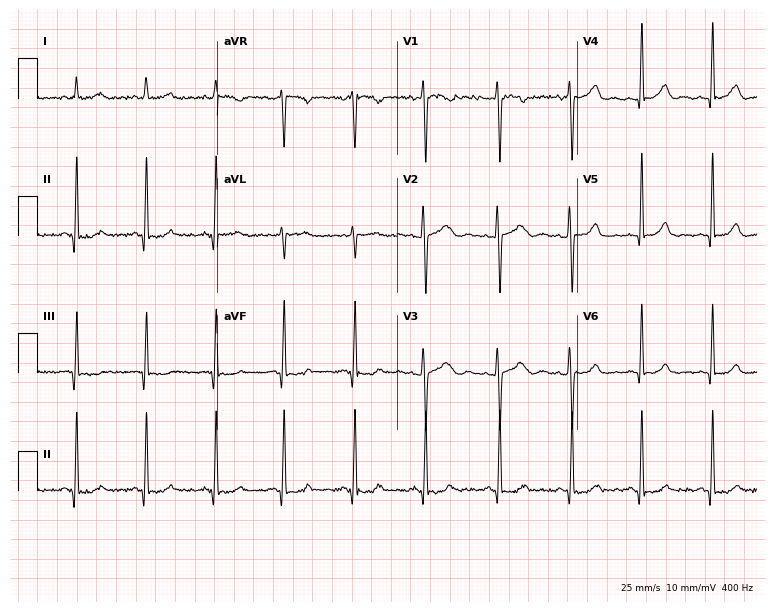
Electrocardiogram (7.3-second recording at 400 Hz), a 31-year-old female. Of the six screened findings (first-degree AV block, right bundle branch block, left bundle branch block, sinus bradycardia, atrial fibrillation, sinus tachycardia), none is recorded. Other findings, if any, are not listed.